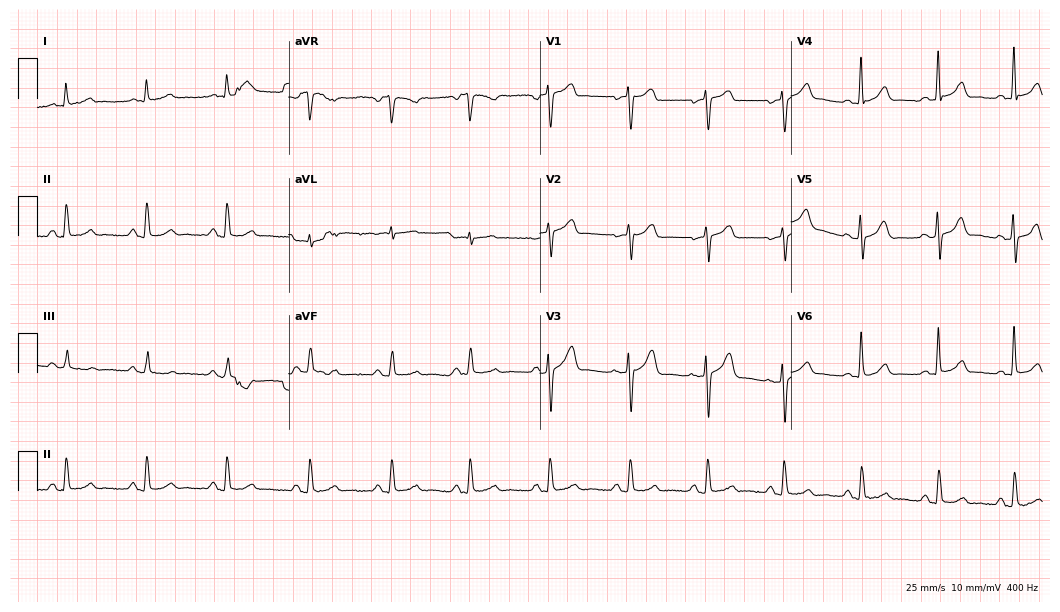
12-lead ECG (10.2-second recording at 400 Hz) from a man, 68 years old. Labelled as a normal ECG.